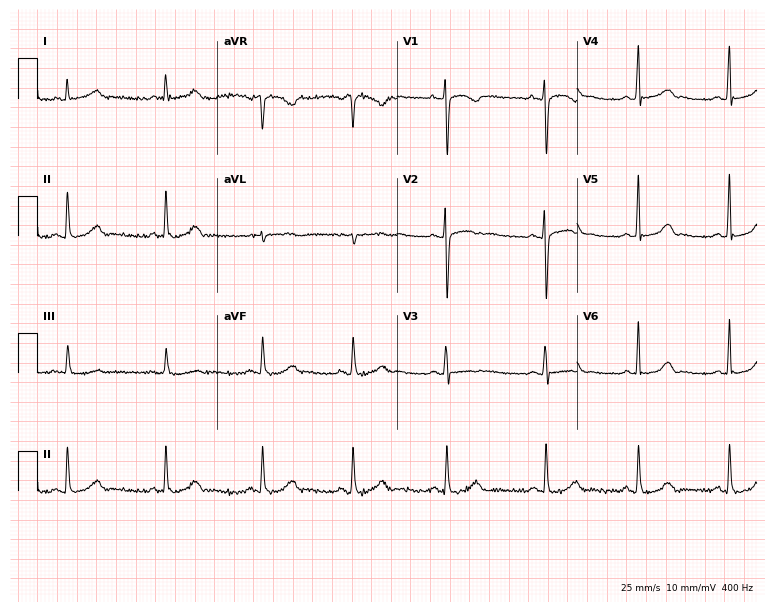
12-lead ECG from a 34-year-old woman. Recorded interpretation: within normal limits.